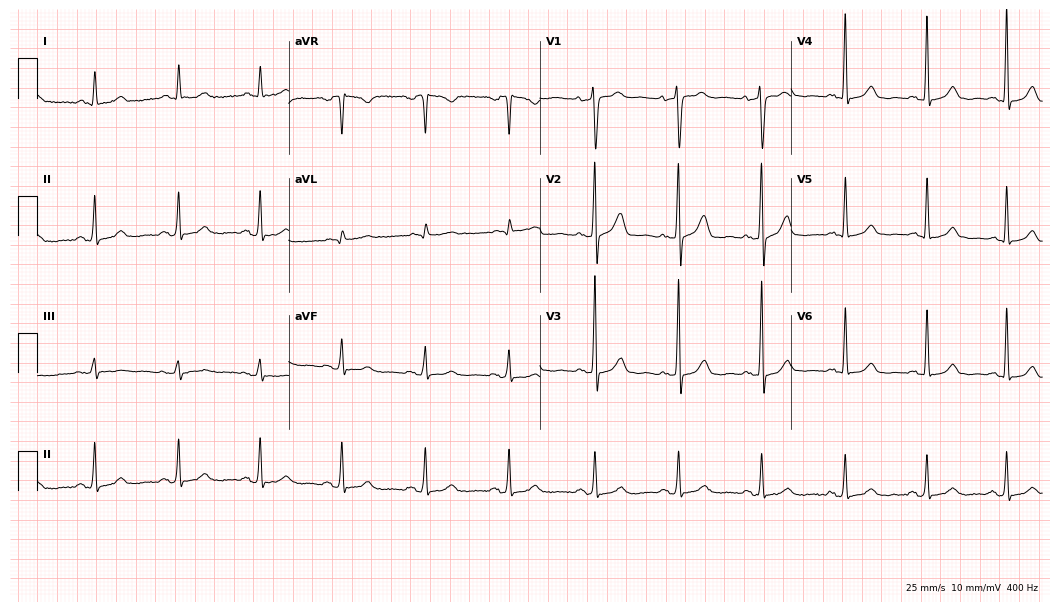
Electrocardiogram, an 82-year-old woman. Of the six screened findings (first-degree AV block, right bundle branch block (RBBB), left bundle branch block (LBBB), sinus bradycardia, atrial fibrillation (AF), sinus tachycardia), none is recorded.